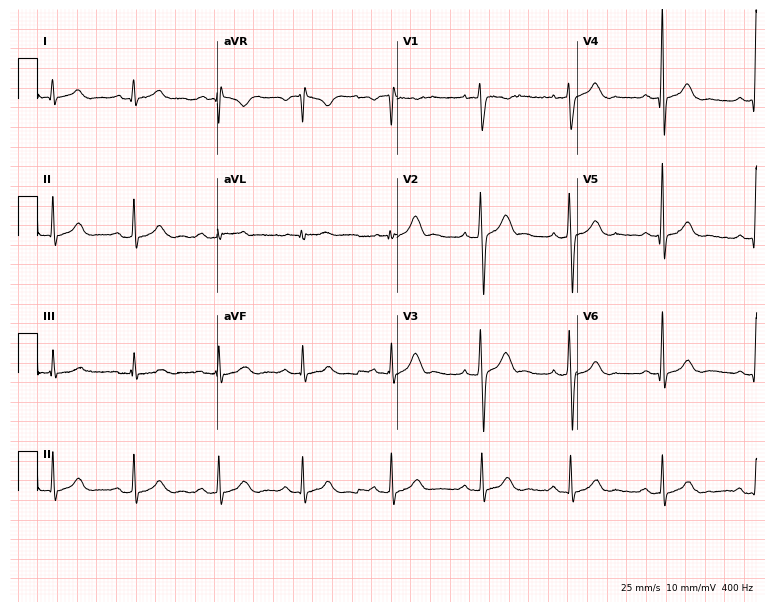
Electrocardiogram (7.3-second recording at 400 Hz), a 30-year-old man. Overall reading on record: normal ECG.